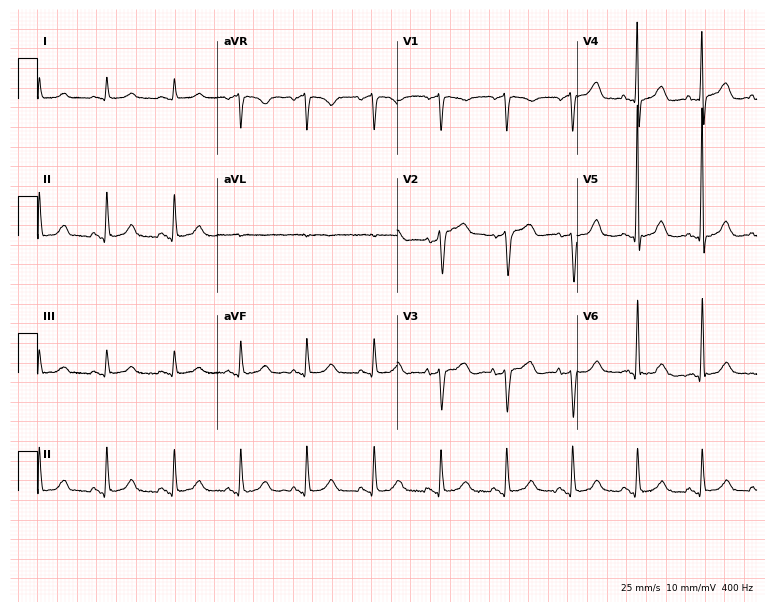
12-lead ECG (7.3-second recording at 400 Hz) from a male patient, 70 years old. Screened for six findings — first-degree AV block, right bundle branch block, left bundle branch block, sinus bradycardia, atrial fibrillation, sinus tachycardia — none is recorded. Other findings, if any, are not listed.